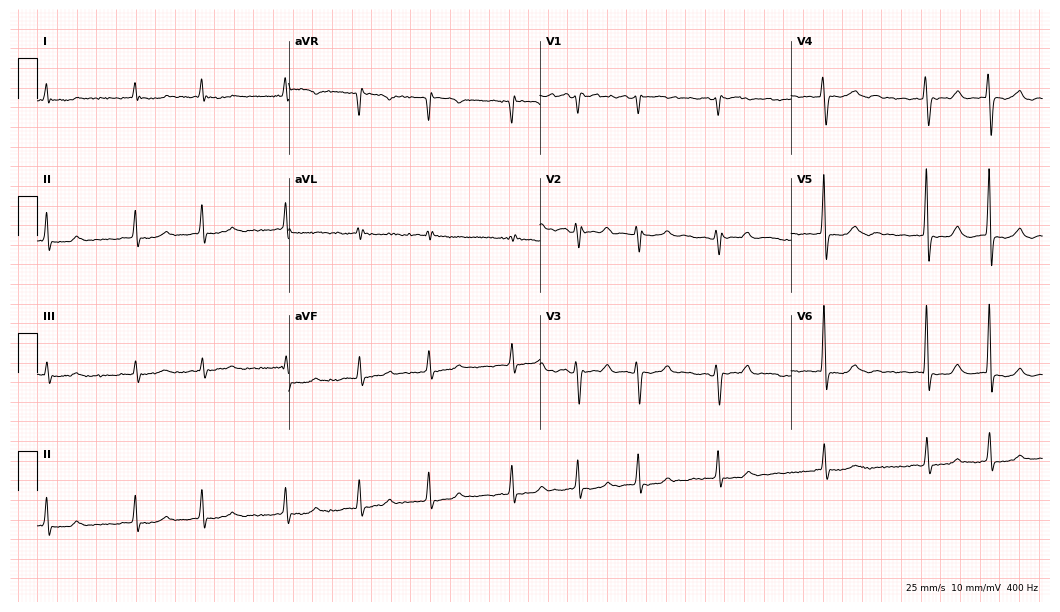
Resting 12-lead electrocardiogram. Patient: a woman, 62 years old. None of these six findings is recorded: first-degree AV block, right bundle branch block, left bundle branch block, sinus bradycardia, atrial fibrillation, sinus tachycardia.